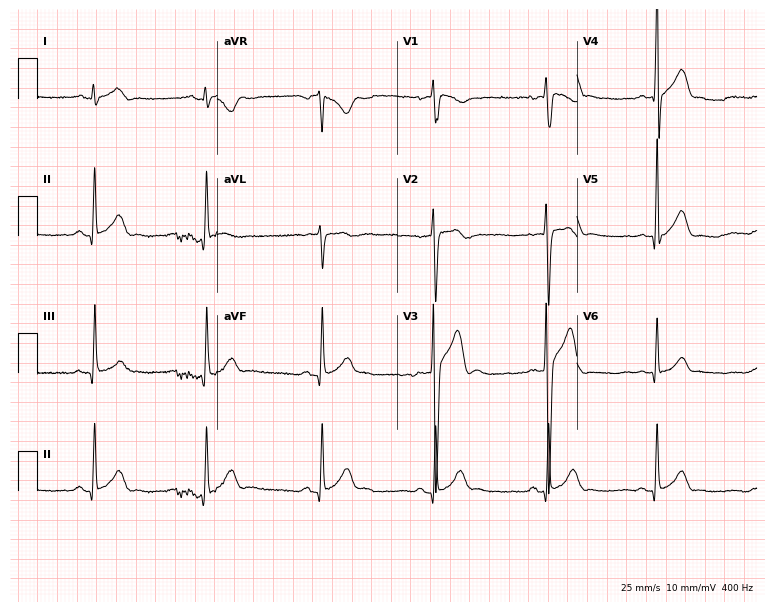
ECG (7.3-second recording at 400 Hz) — a 17-year-old male. Labelled as a normal ECG.